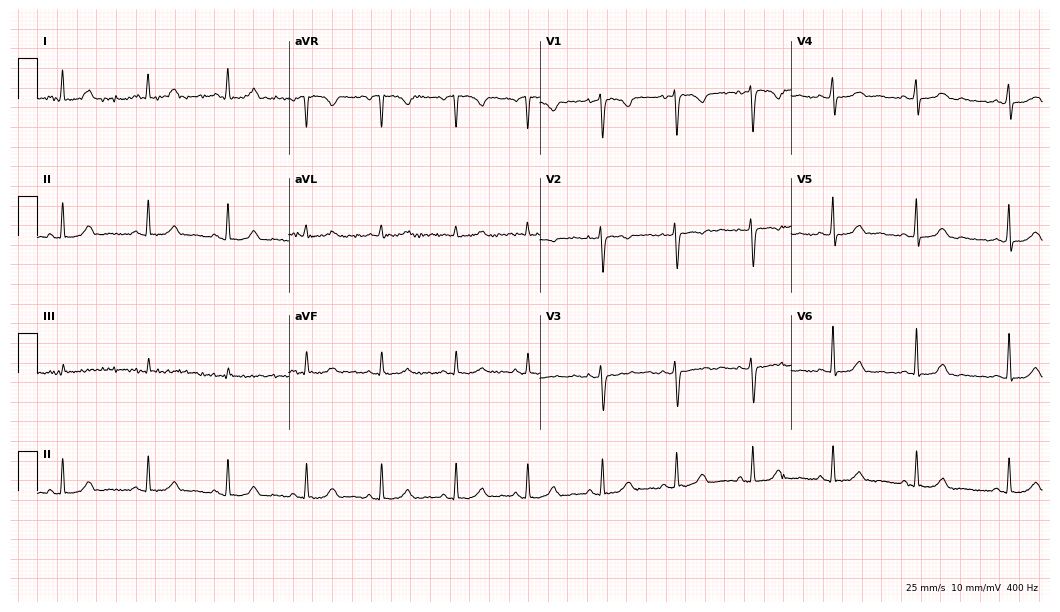
Resting 12-lead electrocardiogram. Patient: a 47-year-old female. Read as a normal ECG.